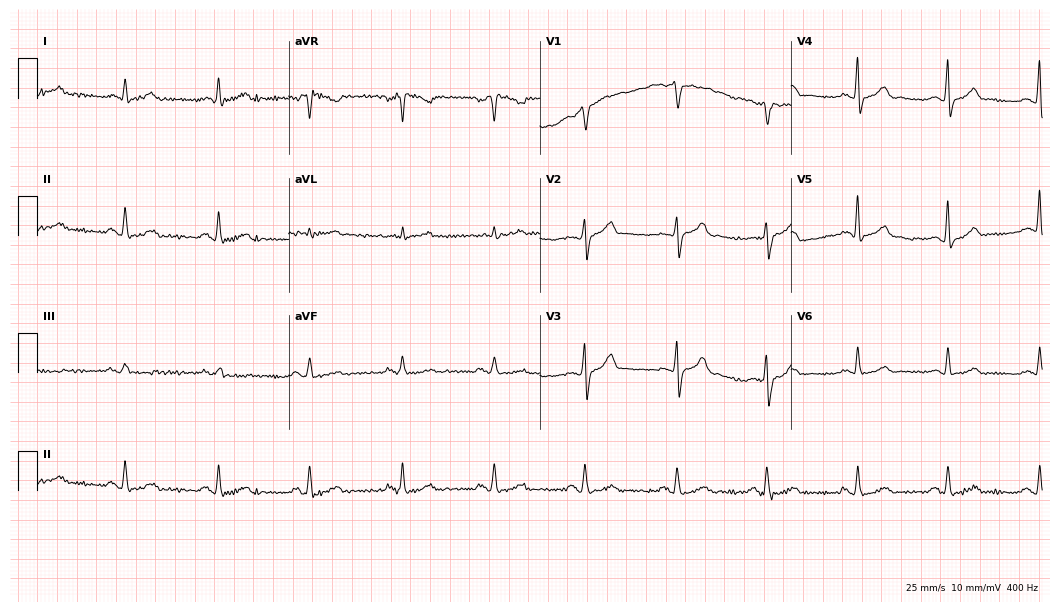
ECG — a 61-year-old female. Screened for six findings — first-degree AV block, right bundle branch block, left bundle branch block, sinus bradycardia, atrial fibrillation, sinus tachycardia — none is recorded.